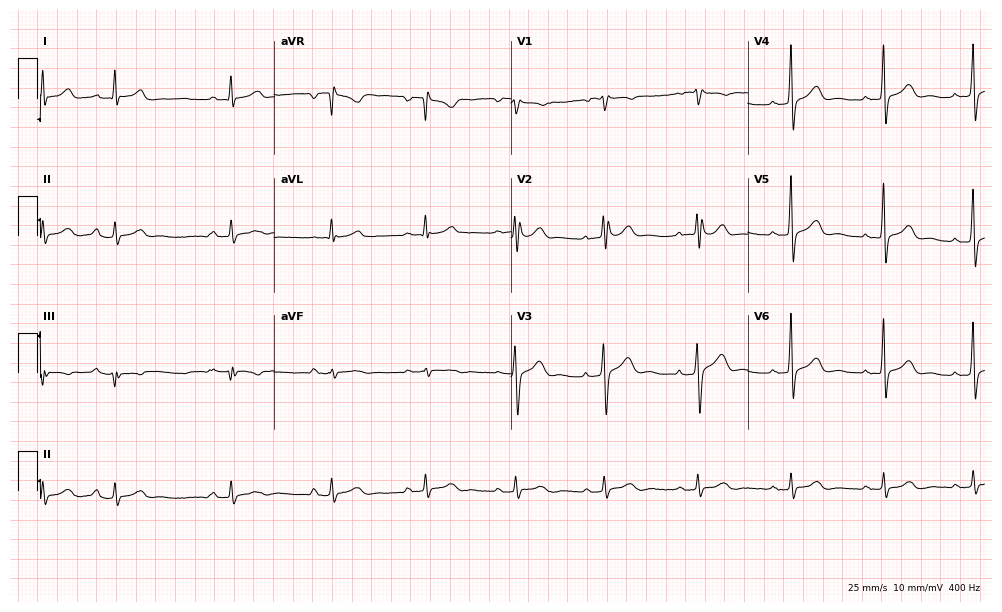
Electrocardiogram, a male patient, 49 years old. Of the six screened findings (first-degree AV block, right bundle branch block, left bundle branch block, sinus bradycardia, atrial fibrillation, sinus tachycardia), none is recorded.